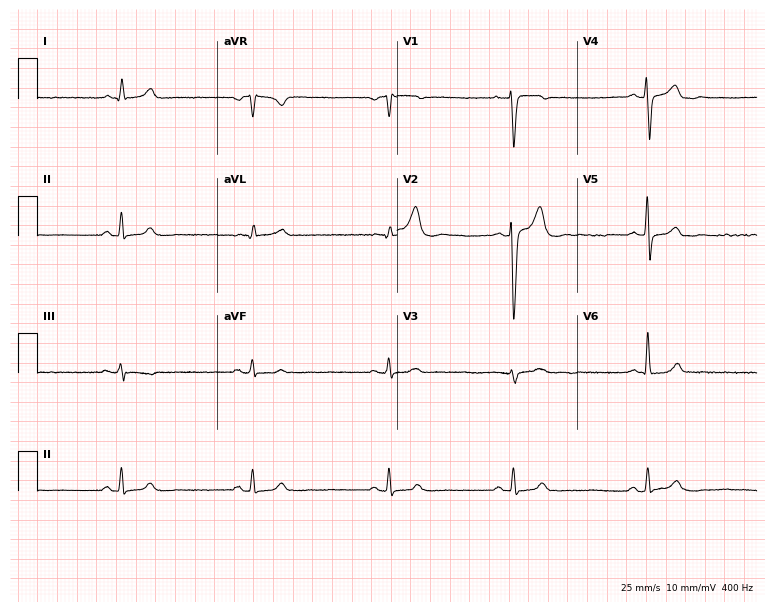
12-lead ECG from a 47-year-old male. Screened for six findings — first-degree AV block, right bundle branch block (RBBB), left bundle branch block (LBBB), sinus bradycardia, atrial fibrillation (AF), sinus tachycardia — none is recorded.